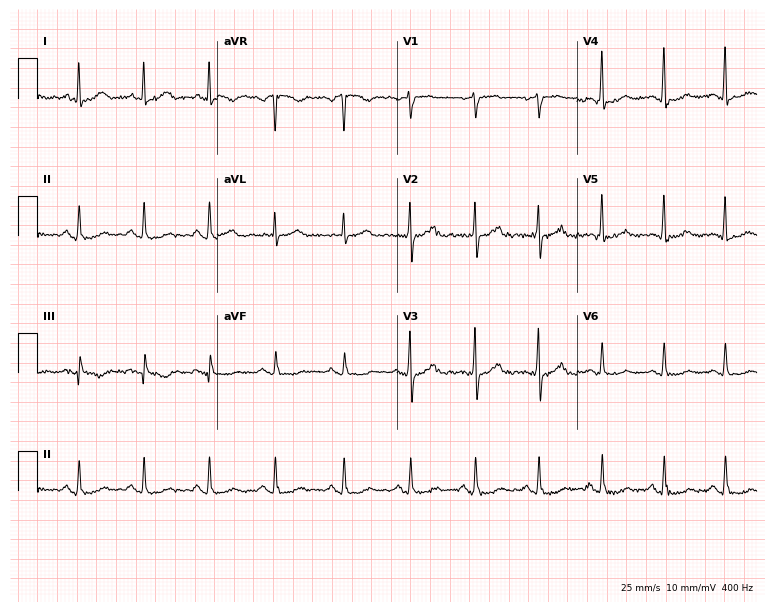
Electrocardiogram, a female, 55 years old. Of the six screened findings (first-degree AV block, right bundle branch block (RBBB), left bundle branch block (LBBB), sinus bradycardia, atrial fibrillation (AF), sinus tachycardia), none is recorded. Only these six findings were labelled.